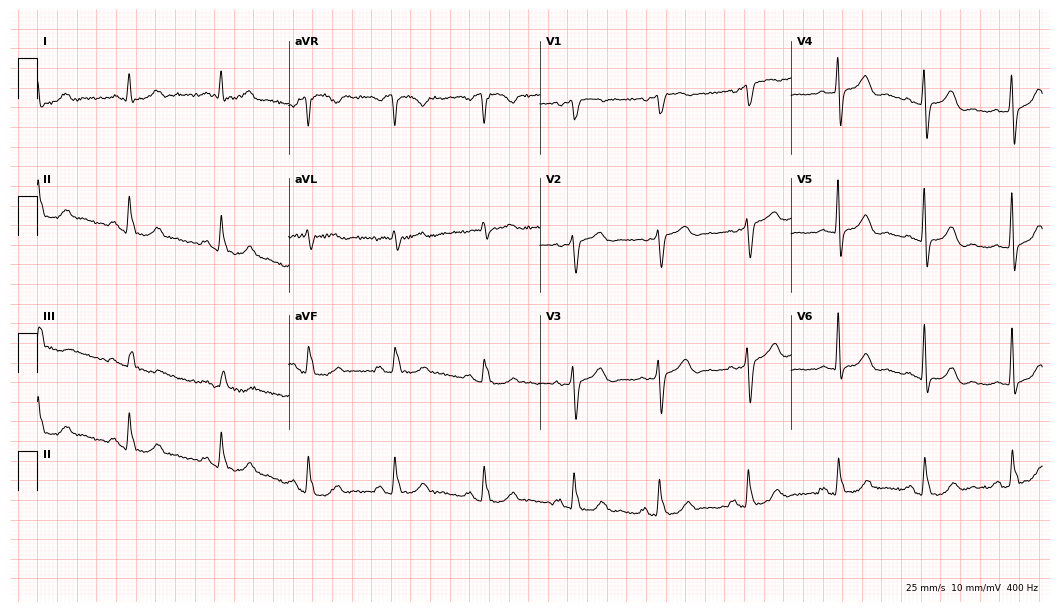
Resting 12-lead electrocardiogram (10.2-second recording at 400 Hz). Patient: a woman, 69 years old. None of these six findings is recorded: first-degree AV block, right bundle branch block, left bundle branch block, sinus bradycardia, atrial fibrillation, sinus tachycardia.